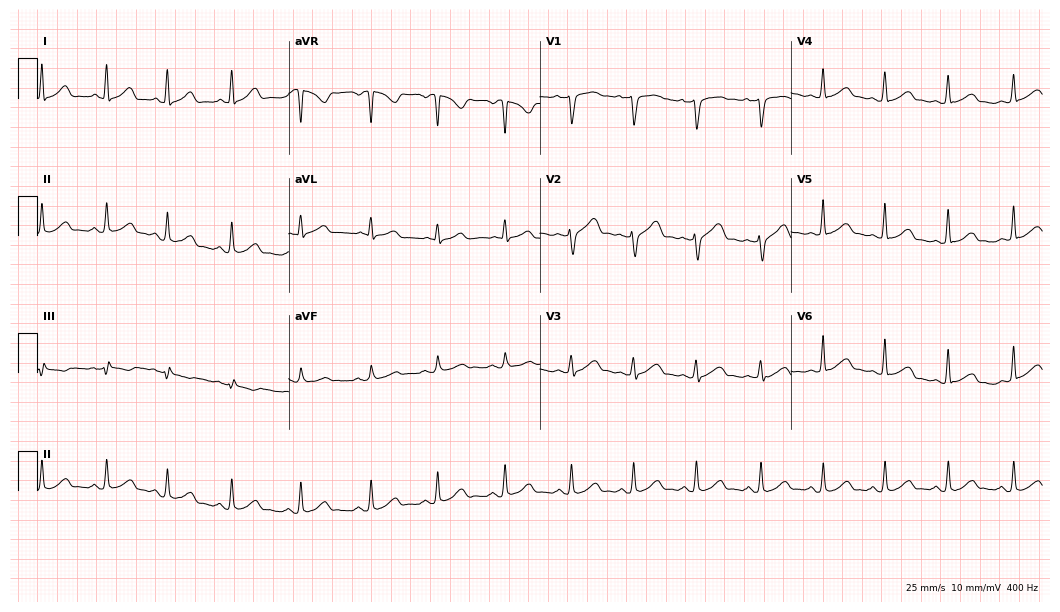
Electrocardiogram (10.2-second recording at 400 Hz), a female patient, 29 years old. Overall reading on record: normal ECG.